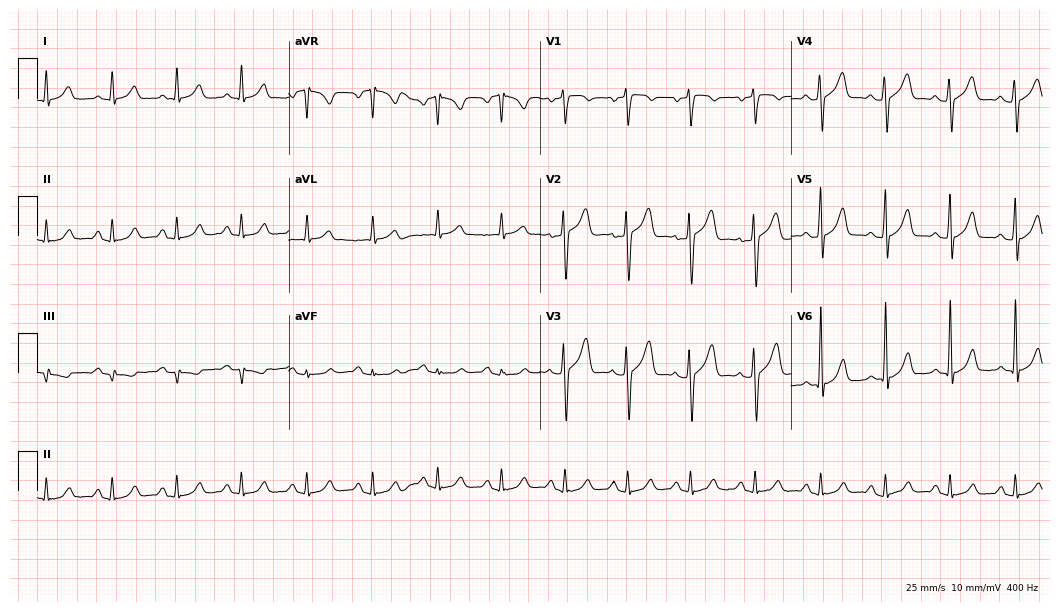
Standard 12-lead ECG recorded from a man, 68 years old. None of these six findings is recorded: first-degree AV block, right bundle branch block (RBBB), left bundle branch block (LBBB), sinus bradycardia, atrial fibrillation (AF), sinus tachycardia.